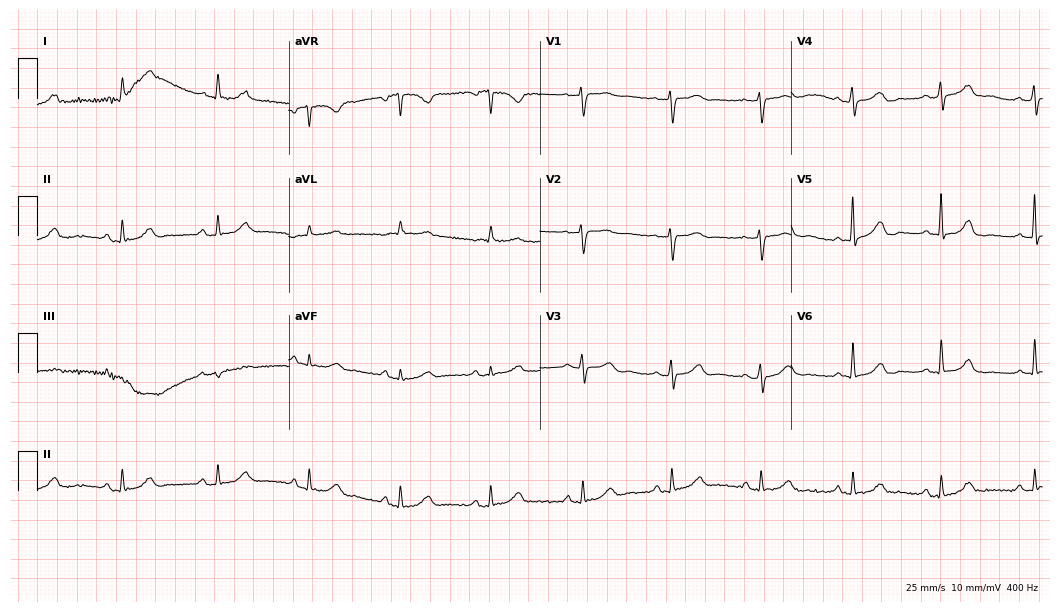
12-lead ECG (10.2-second recording at 400 Hz) from a 70-year-old female. Labelled as a normal ECG.